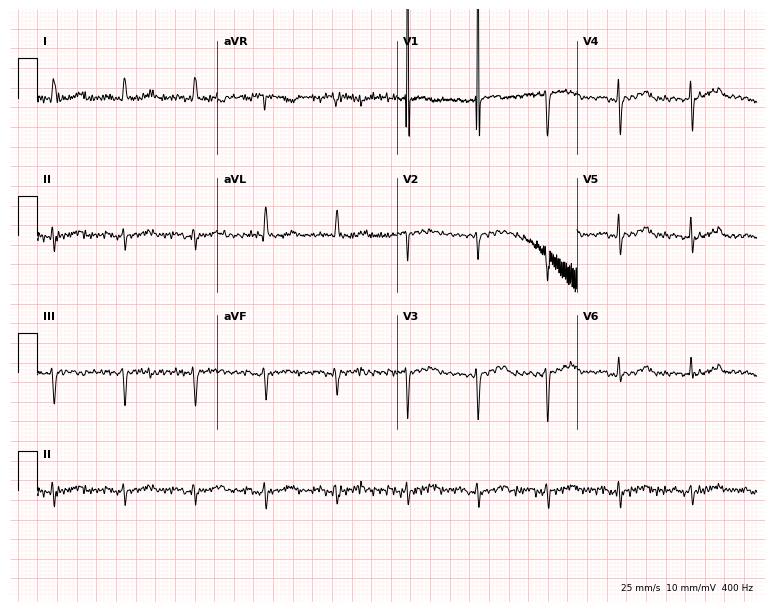
Electrocardiogram, a 74-year-old woman. Of the six screened findings (first-degree AV block, right bundle branch block (RBBB), left bundle branch block (LBBB), sinus bradycardia, atrial fibrillation (AF), sinus tachycardia), none is recorded. Findings outside these six are not listed.